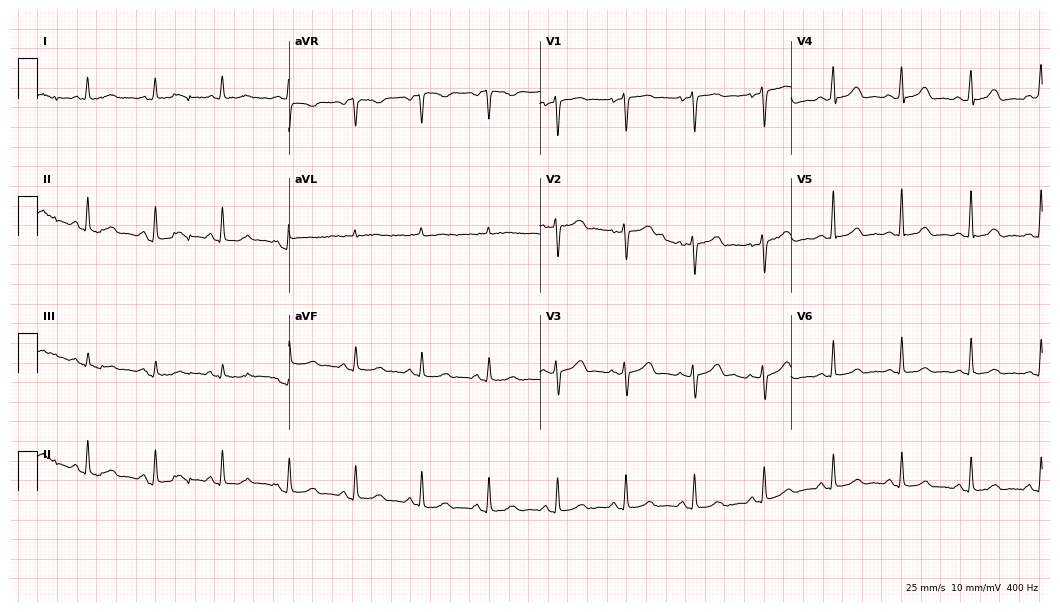
Resting 12-lead electrocardiogram (10.2-second recording at 400 Hz). Patient: a 38-year-old woman. Read as a normal ECG.